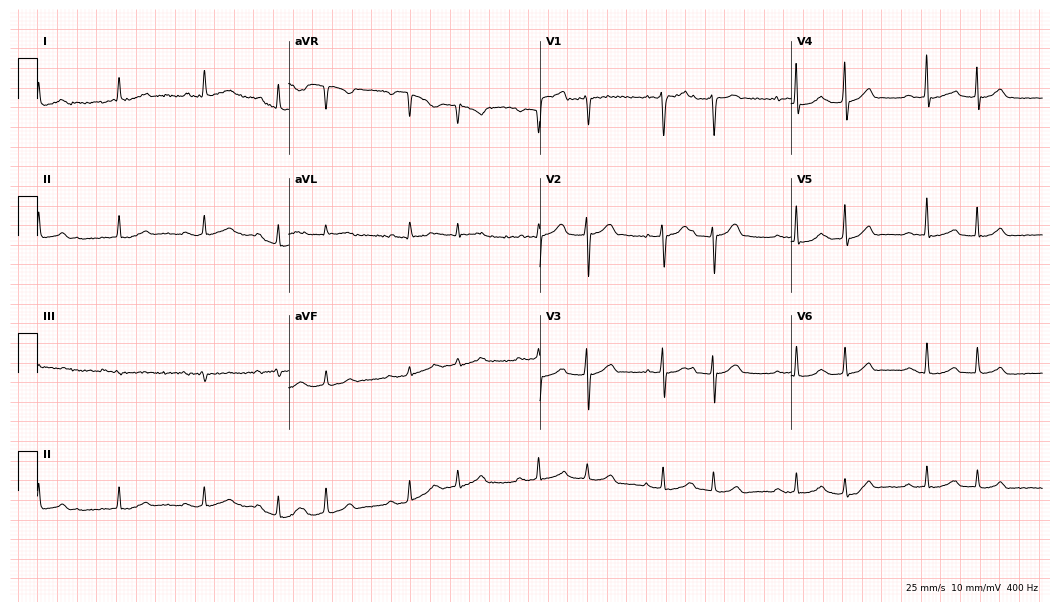
Resting 12-lead electrocardiogram. Patient: a 67-year-old male. None of these six findings is recorded: first-degree AV block, right bundle branch block, left bundle branch block, sinus bradycardia, atrial fibrillation, sinus tachycardia.